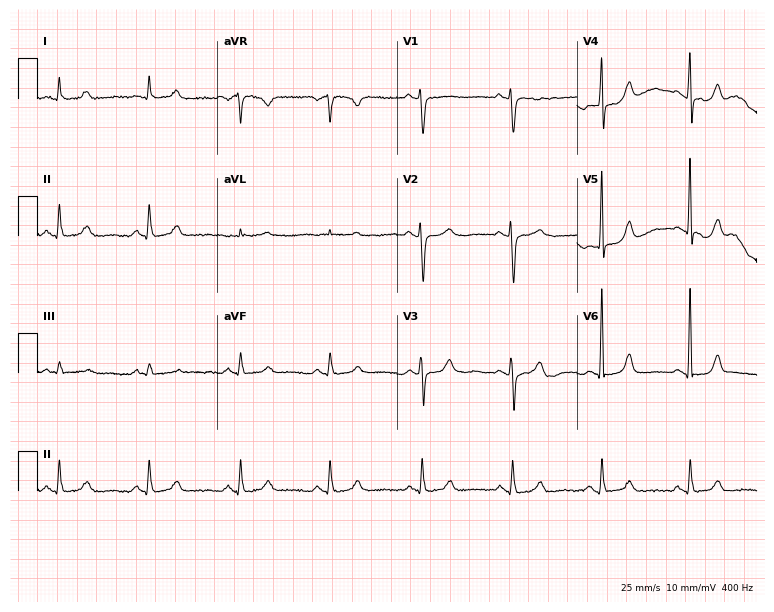
12-lead ECG from an 81-year-old female. Recorded interpretation: within normal limits.